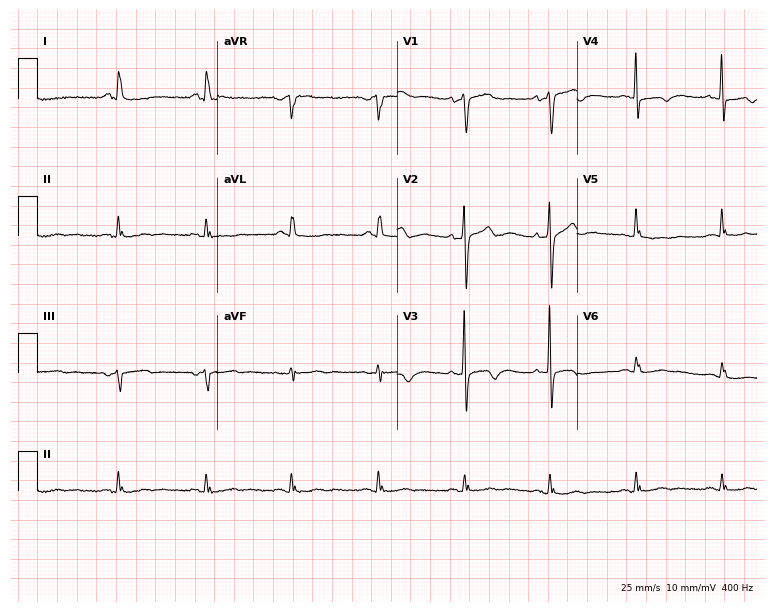
Electrocardiogram, a female patient, 73 years old. Of the six screened findings (first-degree AV block, right bundle branch block, left bundle branch block, sinus bradycardia, atrial fibrillation, sinus tachycardia), none is recorded. Other findings, if any, are not listed.